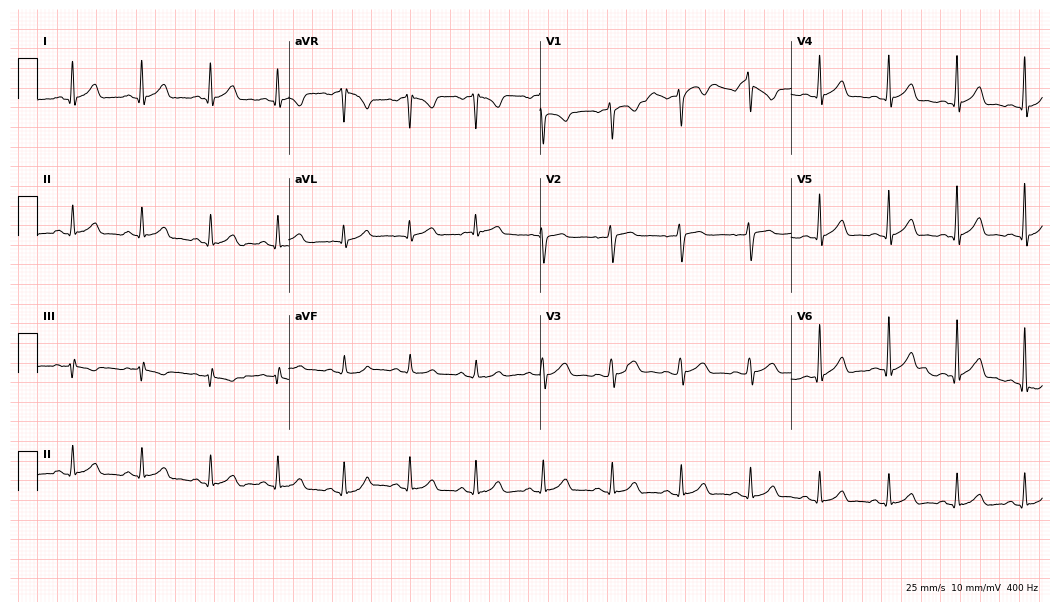
Electrocardiogram (10.2-second recording at 400 Hz), a male, 39 years old. Overall reading on record: normal ECG.